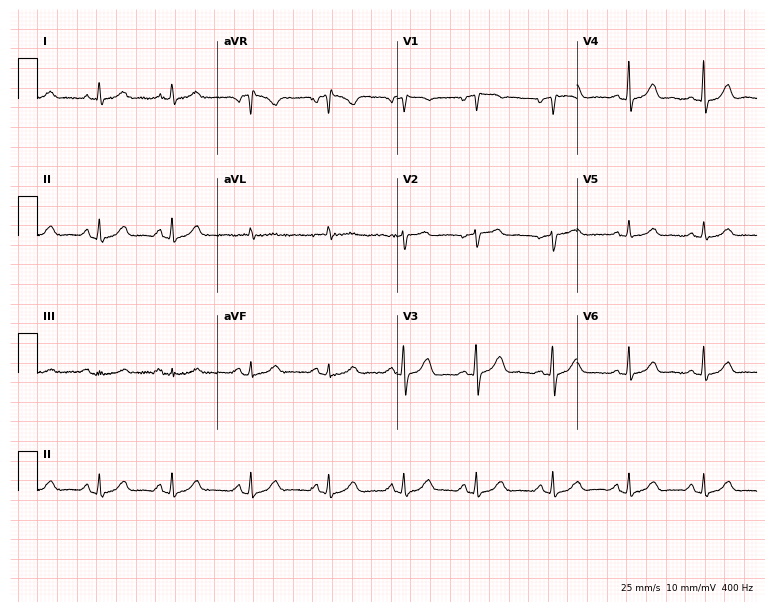
Resting 12-lead electrocardiogram. Patient: a female, 57 years old. Read as a normal ECG.